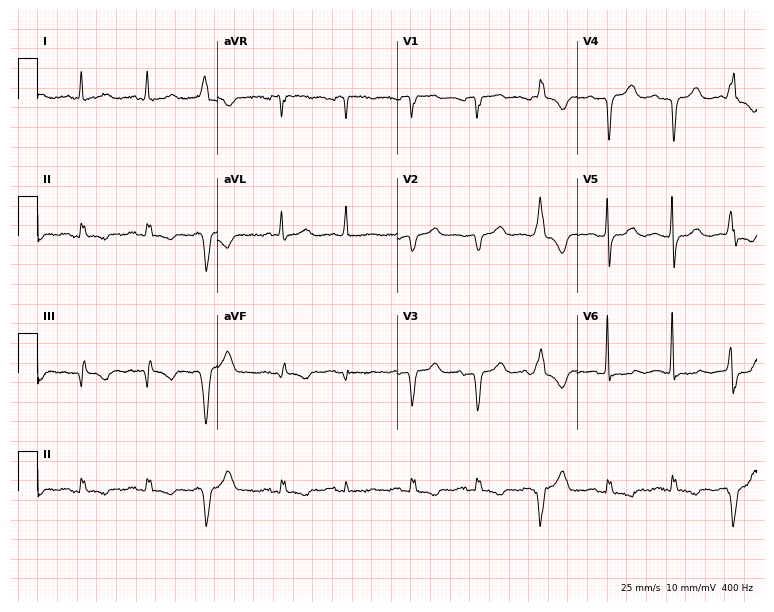
Standard 12-lead ECG recorded from a male, 83 years old. None of these six findings is recorded: first-degree AV block, right bundle branch block (RBBB), left bundle branch block (LBBB), sinus bradycardia, atrial fibrillation (AF), sinus tachycardia.